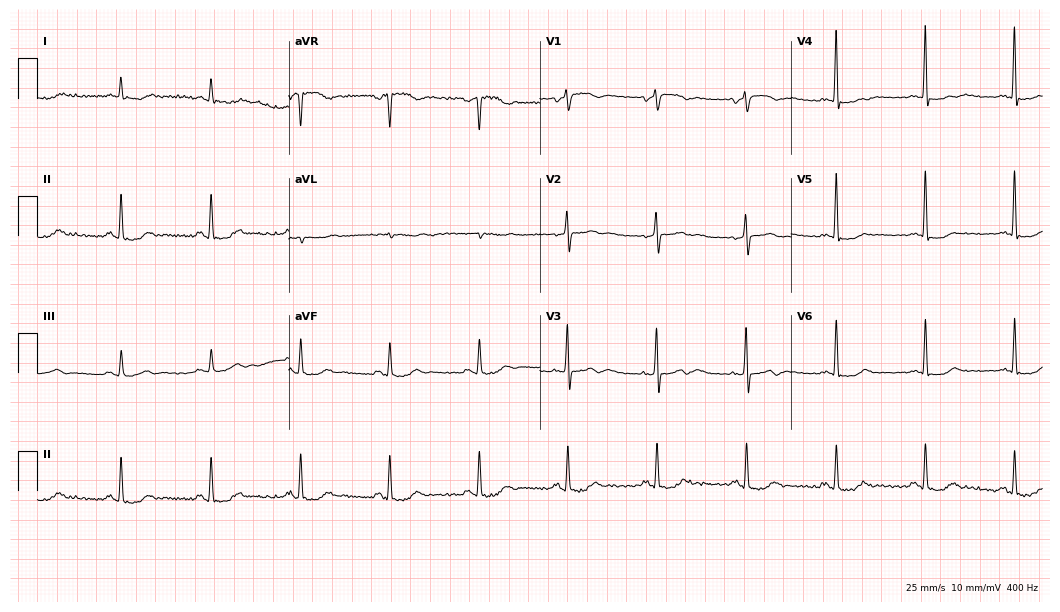
Resting 12-lead electrocardiogram. Patient: an 80-year-old male. None of these six findings is recorded: first-degree AV block, right bundle branch block, left bundle branch block, sinus bradycardia, atrial fibrillation, sinus tachycardia. Other findings, if any, are not listed.